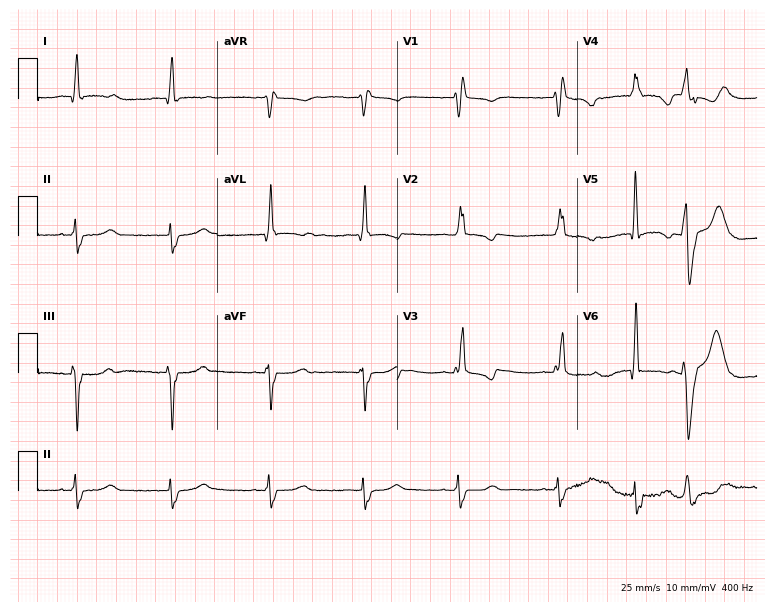
Resting 12-lead electrocardiogram (7.3-second recording at 400 Hz). Patient: a 31-year-old woman. None of these six findings is recorded: first-degree AV block, right bundle branch block, left bundle branch block, sinus bradycardia, atrial fibrillation, sinus tachycardia.